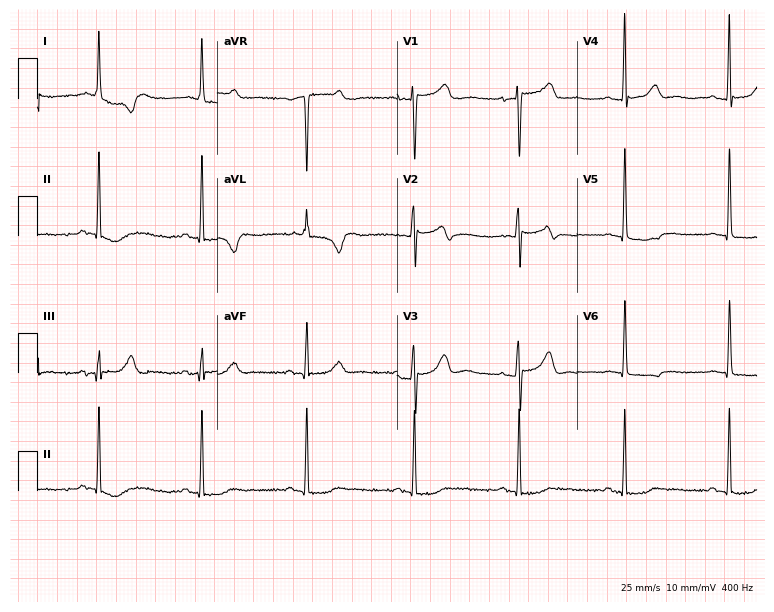
ECG — a woman, 68 years old. Screened for six findings — first-degree AV block, right bundle branch block, left bundle branch block, sinus bradycardia, atrial fibrillation, sinus tachycardia — none is recorded. Only these six findings were labelled.